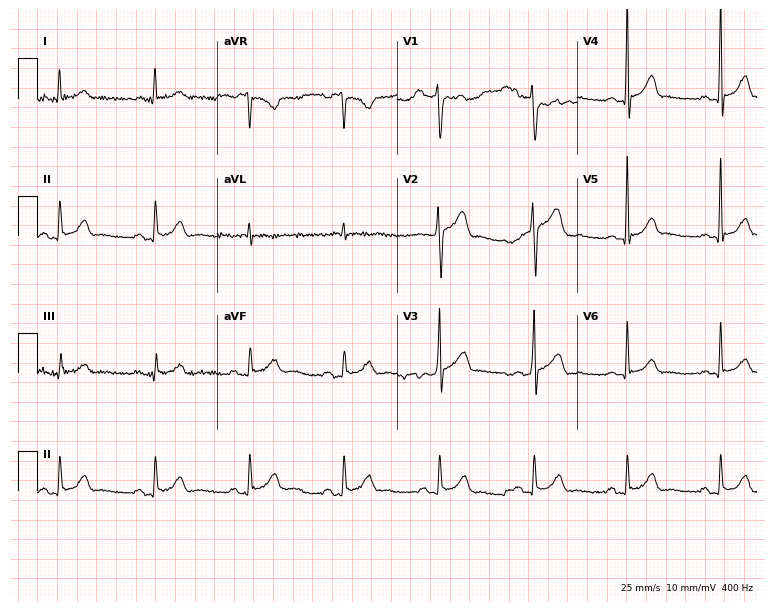
ECG (7.3-second recording at 400 Hz) — a male, 52 years old. Screened for six findings — first-degree AV block, right bundle branch block, left bundle branch block, sinus bradycardia, atrial fibrillation, sinus tachycardia — none is recorded.